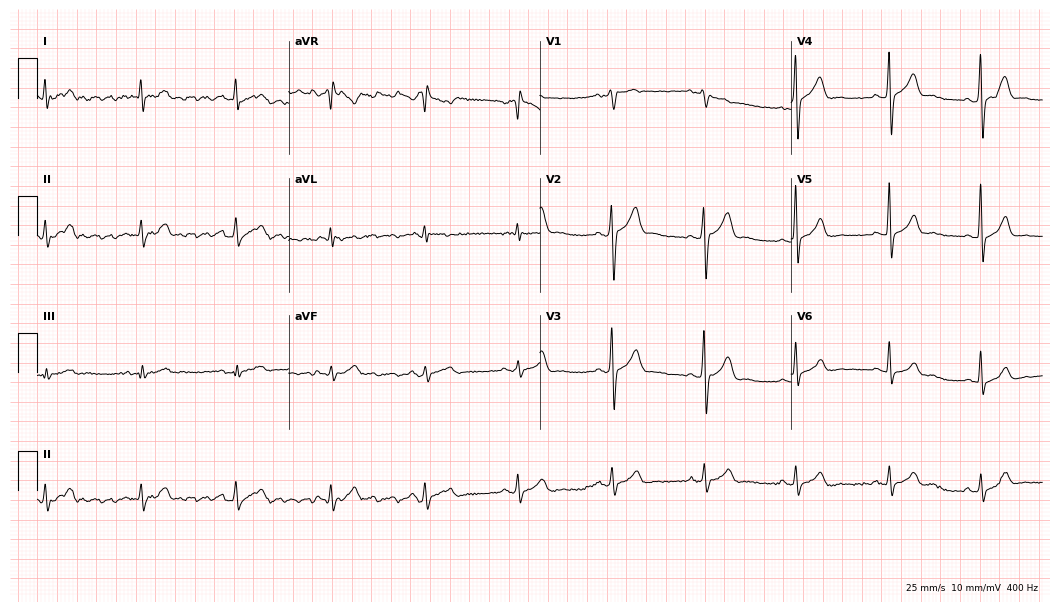
Standard 12-lead ECG recorded from a 45-year-old male. Read as a normal ECG.